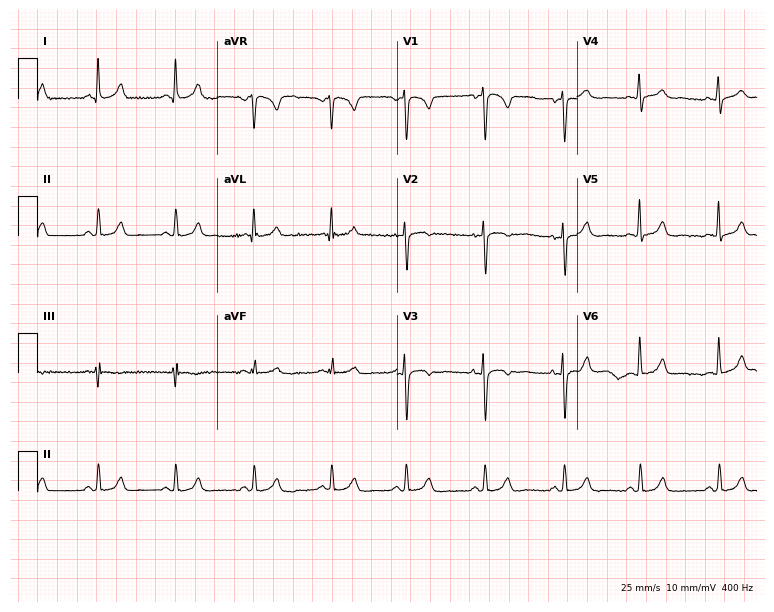
Standard 12-lead ECG recorded from a female patient, 40 years old (7.3-second recording at 400 Hz). Read as a normal ECG.